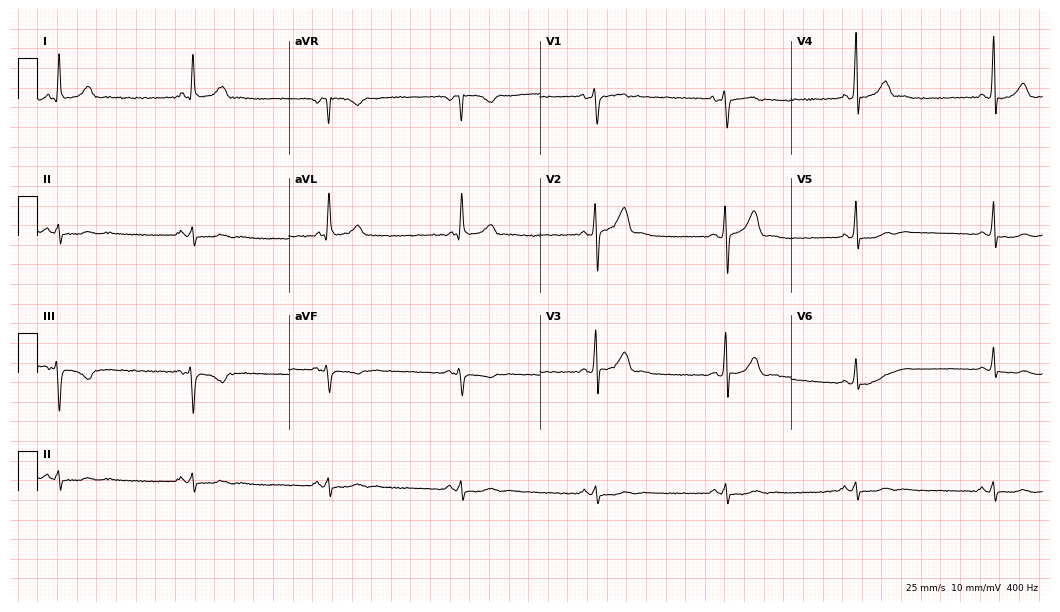
ECG (10.2-second recording at 400 Hz) — a male patient, 34 years old. Findings include sinus bradycardia (a sinus rate of 50 beats per minute or less).